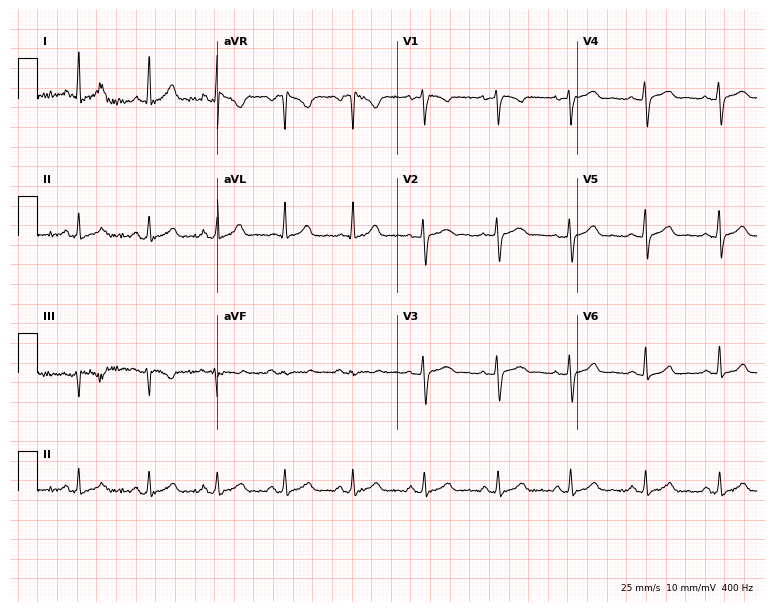
ECG (7.3-second recording at 400 Hz) — a woman, 49 years old. Labelled as a normal ECG.